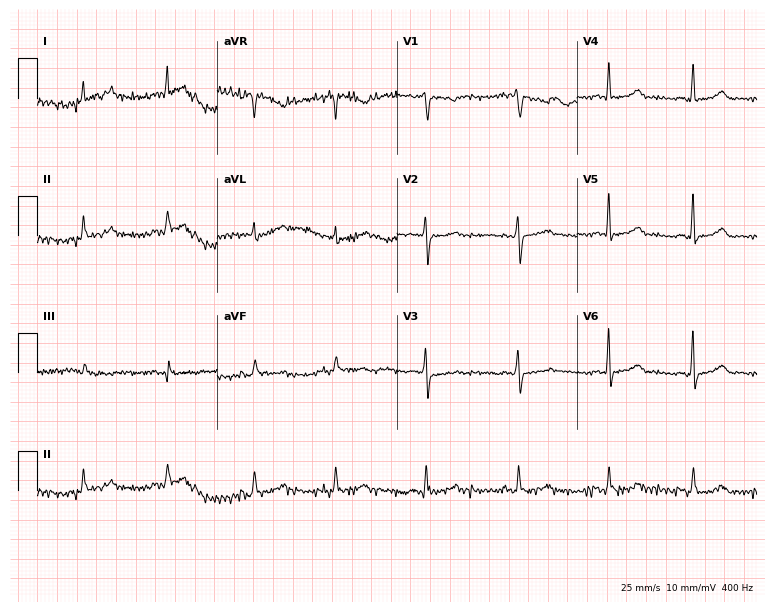
12-lead ECG from a female, 46 years old (7.3-second recording at 400 Hz). Recorded interpretation: within normal limits.